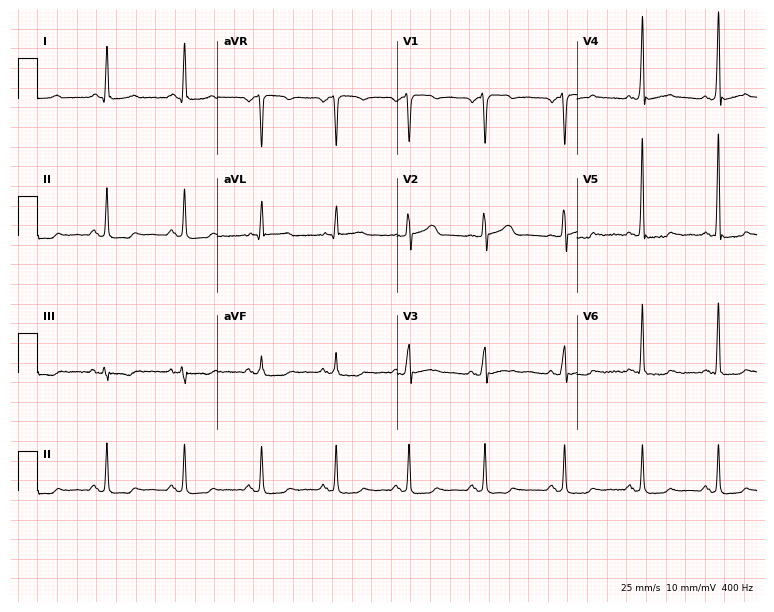
ECG (7.3-second recording at 400 Hz) — a male, 61 years old. Screened for six findings — first-degree AV block, right bundle branch block, left bundle branch block, sinus bradycardia, atrial fibrillation, sinus tachycardia — none is recorded. Other findings, if any, are not listed.